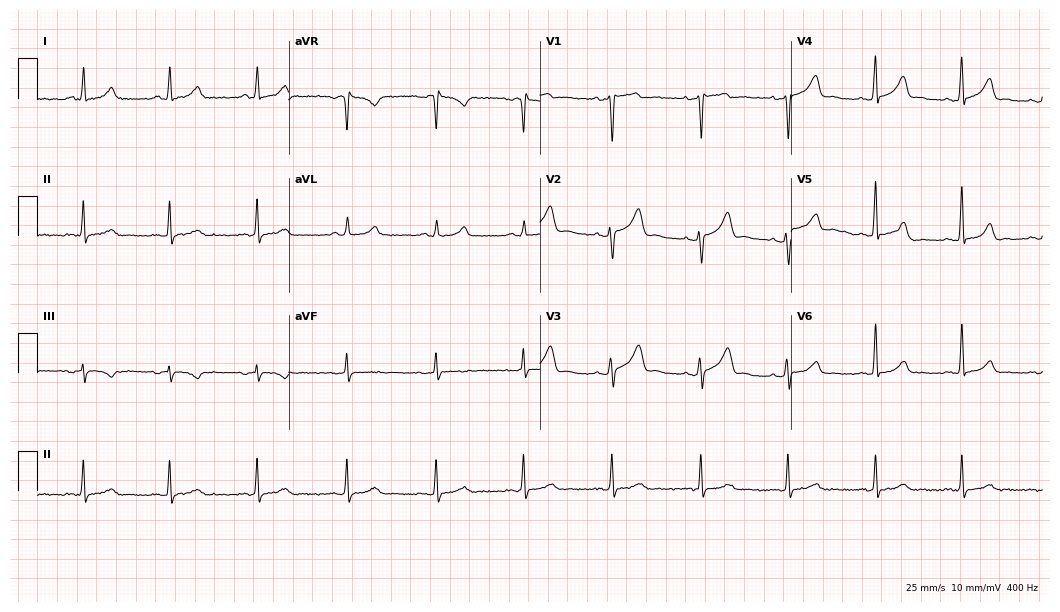
12-lead ECG from a female patient, 39 years old (10.2-second recording at 400 Hz). Recorded interpretation: within normal limits.